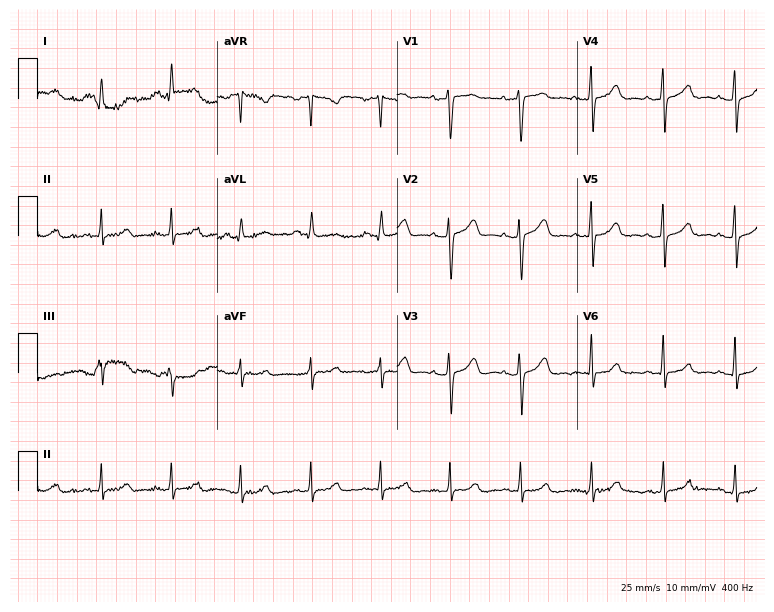
Standard 12-lead ECG recorded from a 40-year-old woman. None of these six findings is recorded: first-degree AV block, right bundle branch block, left bundle branch block, sinus bradycardia, atrial fibrillation, sinus tachycardia. Other findings, if any, are not listed.